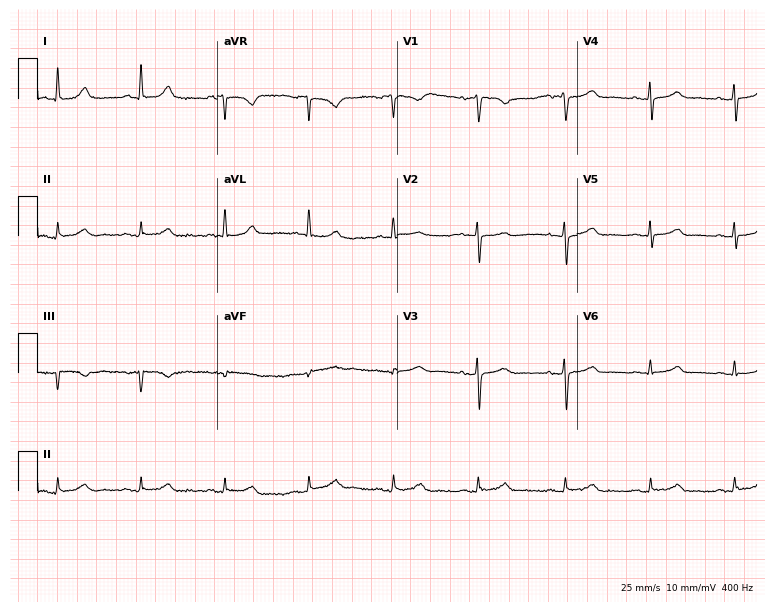
ECG — a 58-year-old female patient. Labelled as a normal ECG.